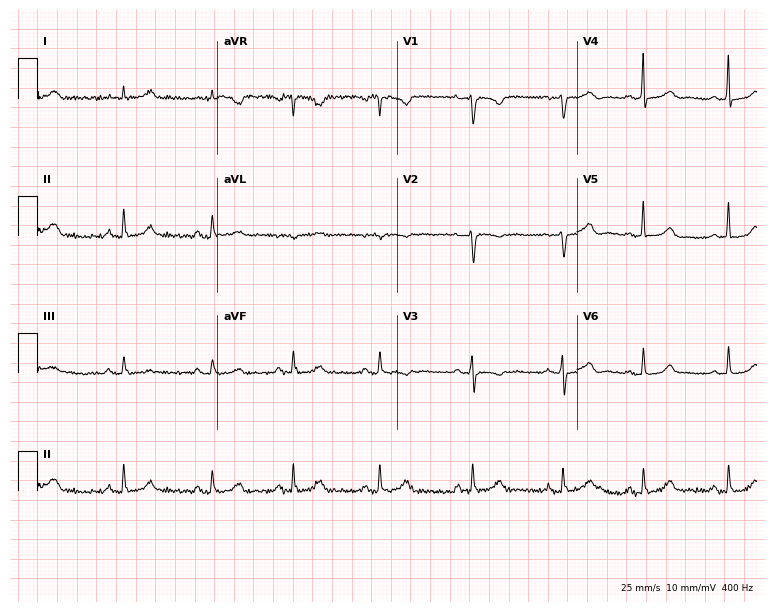
12-lead ECG from a female, 31 years old. Labelled as a normal ECG.